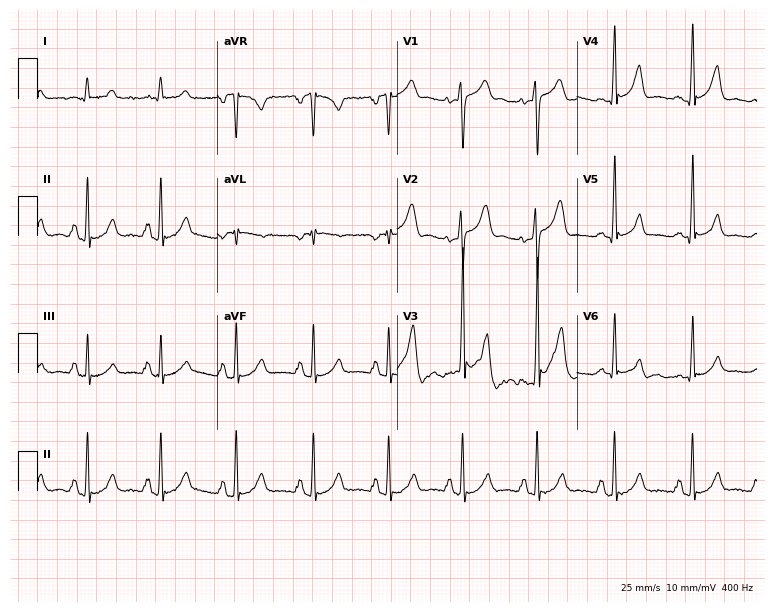
ECG (7.3-second recording at 400 Hz) — a male patient, 29 years old. Labelled as a normal ECG.